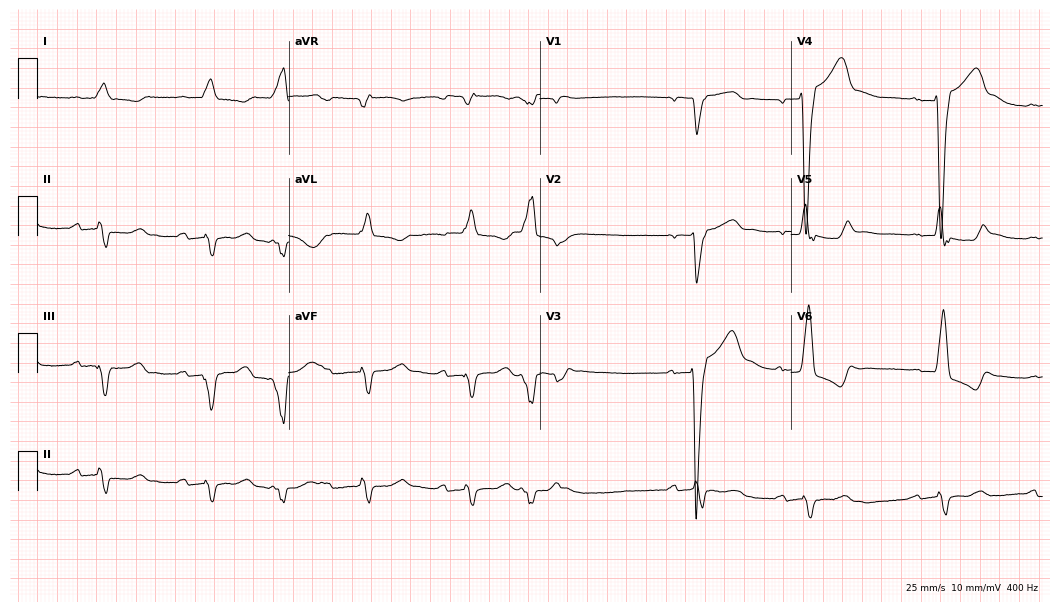
12-lead ECG (10.2-second recording at 400 Hz) from a male patient, 84 years old. Screened for six findings — first-degree AV block, right bundle branch block, left bundle branch block, sinus bradycardia, atrial fibrillation, sinus tachycardia — none is recorded.